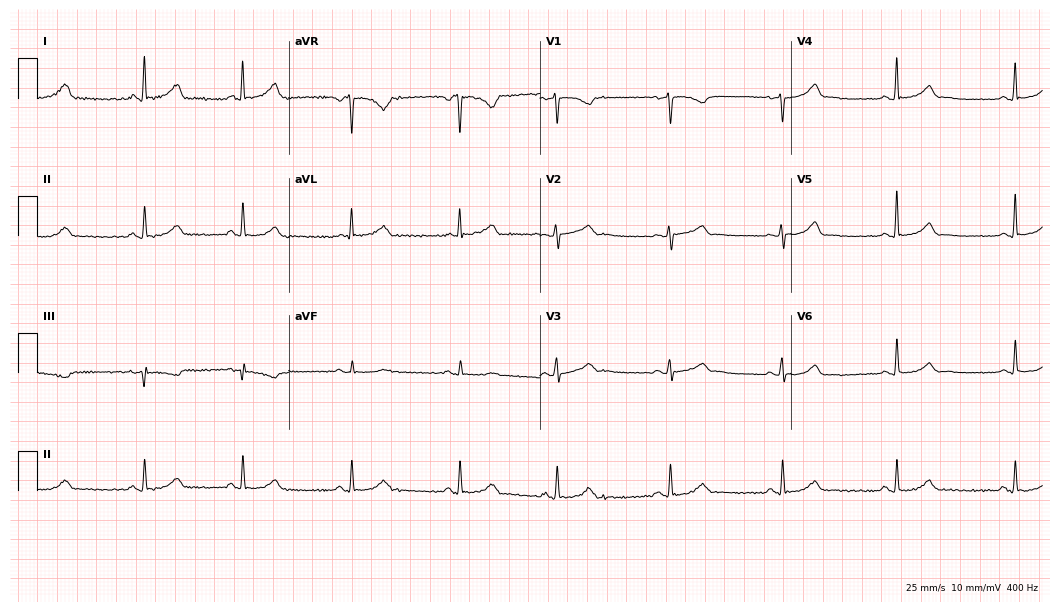
Electrocardiogram (10.2-second recording at 400 Hz), a 45-year-old female patient. Of the six screened findings (first-degree AV block, right bundle branch block, left bundle branch block, sinus bradycardia, atrial fibrillation, sinus tachycardia), none is recorded.